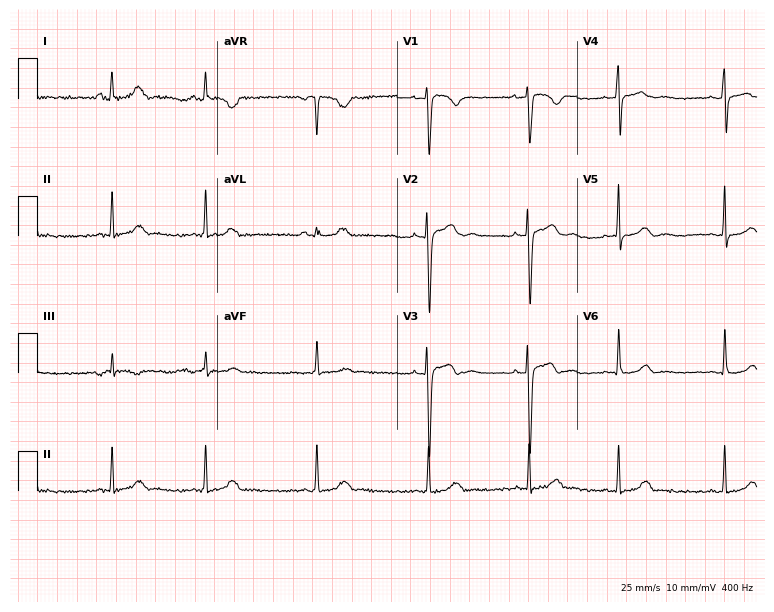
12-lead ECG from a 22-year-old woman. Labelled as a normal ECG.